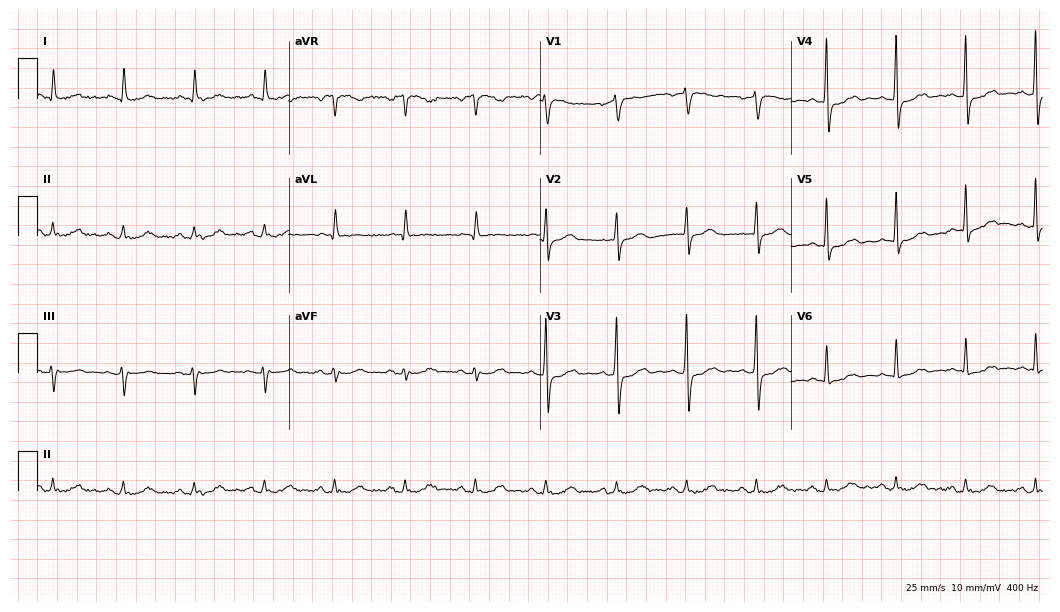
Resting 12-lead electrocardiogram (10.2-second recording at 400 Hz). Patient: a male, 64 years old. None of these six findings is recorded: first-degree AV block, right bundle branch block, left bundle branch block, sinus bradycardia, atrial fibrillation, sinus tachycardia.